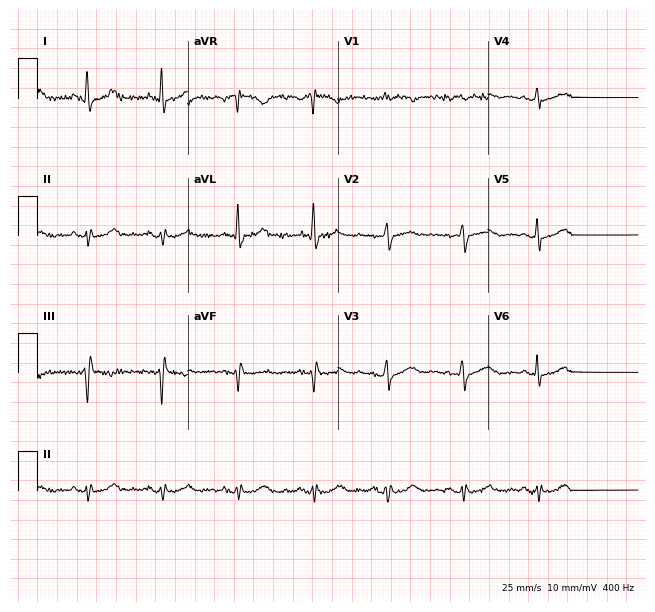
Electrocardiogram, a female, 72 years old. Overall reading on record: normal ECG.